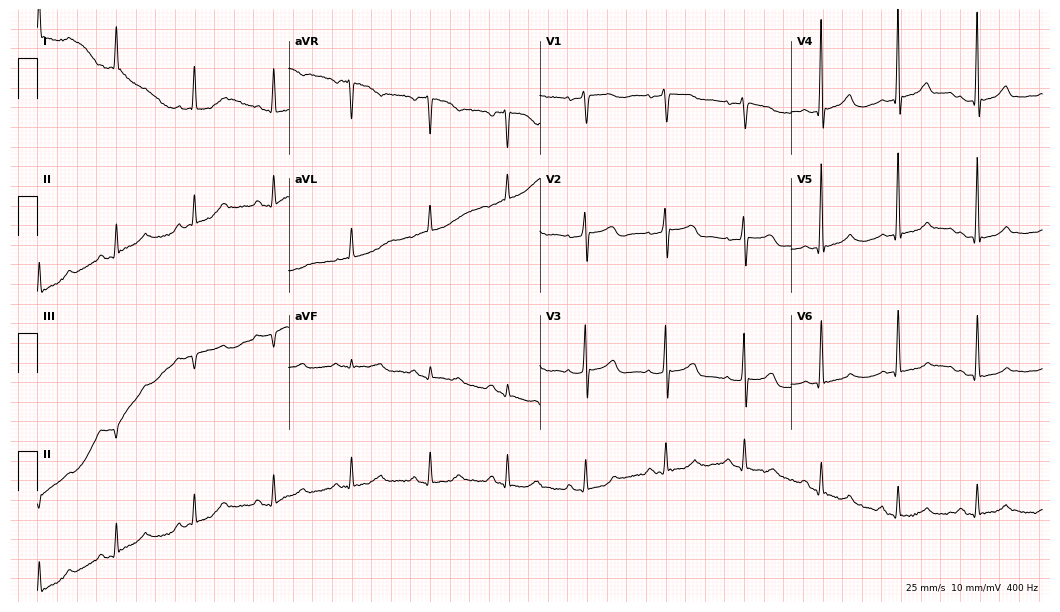
Standard 12-lead ECG recorded from a female, 62 years old (10.2-second recording at 400 Hz). Read as a normal ECG.